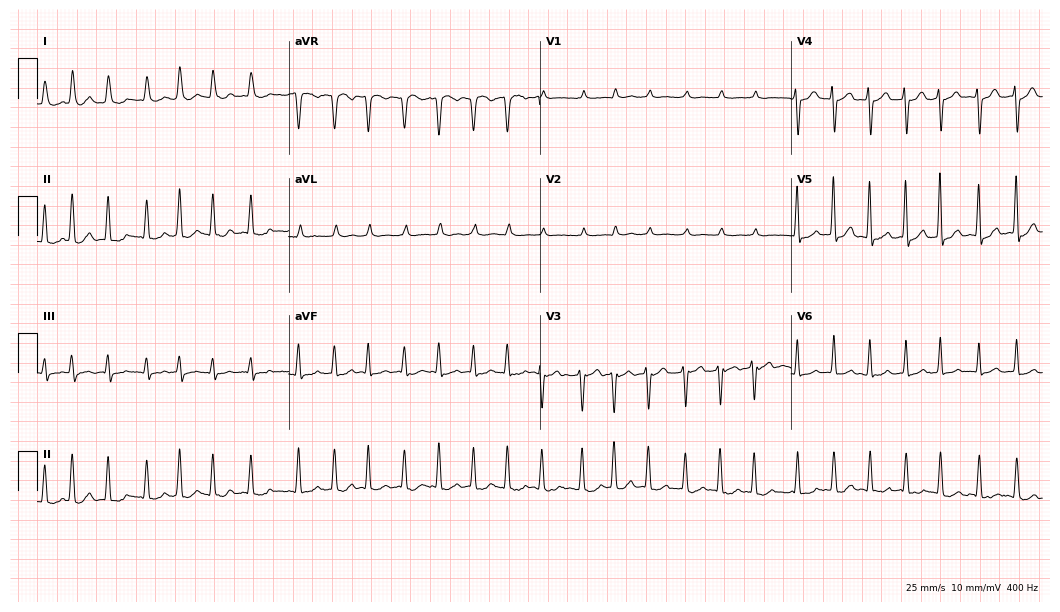
12-lead ECG (10.2-second recording at 400 Hz) from a female patient, 44 years old. Findings include atrial fibrillation (AF), sinus tachycardia (a sinus rate of 100 beats per minute or more).